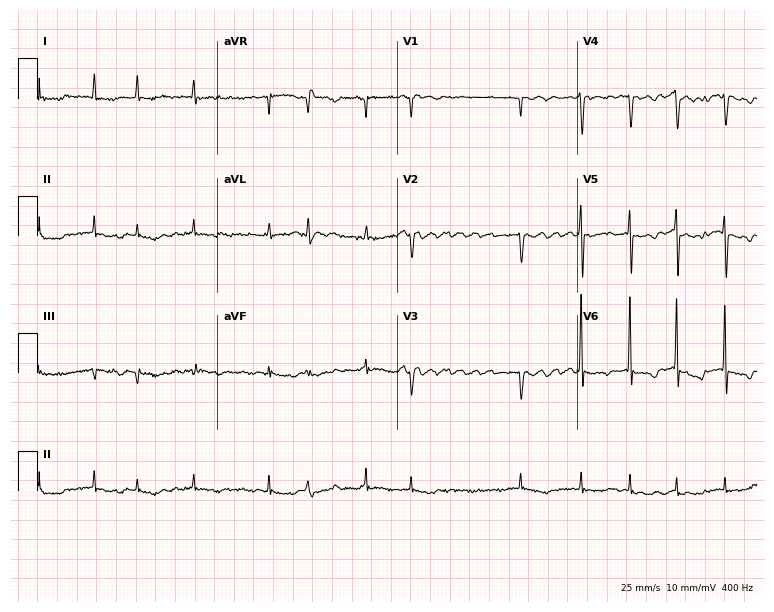
ECG — a 75-year-old female patient. Screened for six findings — first-degree AV block, right bundle branch block (RBBB), left bundle branch block (LBBB), sinus bradycardia, atrial fibrillation (AF), sinus tachycardia — none is recorded.